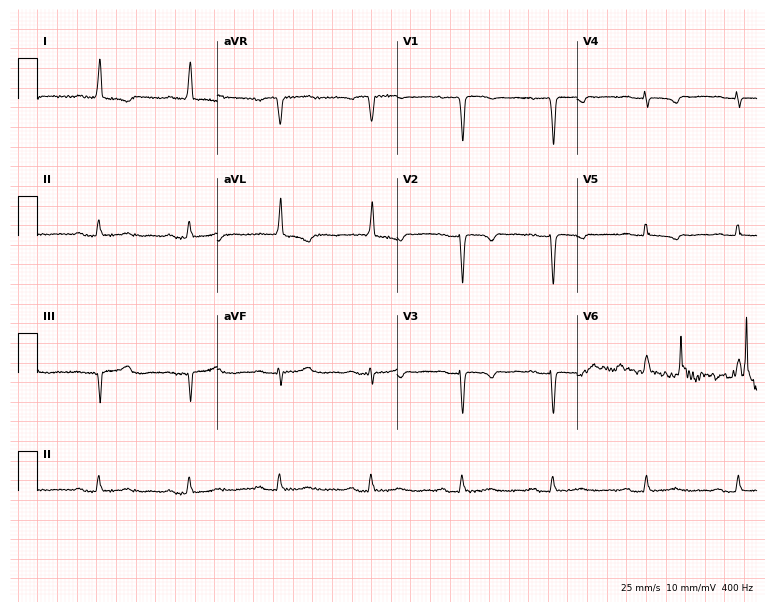
12-lead ECG from a woman, 84 years old. Screened for six findings — first-degree AV block, right bundle branch block, left bundle branch block, sinus bradycardia, atrial fibrillation, sinus tachycardia — none is recorded. Only these six findings were labelled.